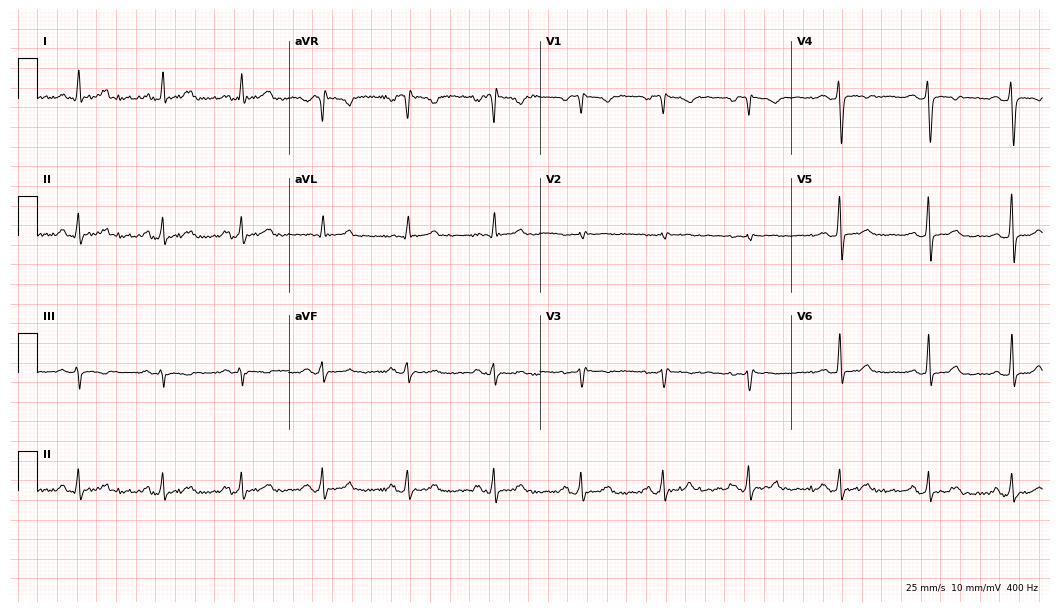
12-lead ECG from a woman, 41 years old. Screened for six findings — first-degree AV block, right bundle branch block, left bundle branch block, sinus bradycardia, atrial fibrillation, sinus tachycardia — none is recorded. Other findings, if any, are not listed.